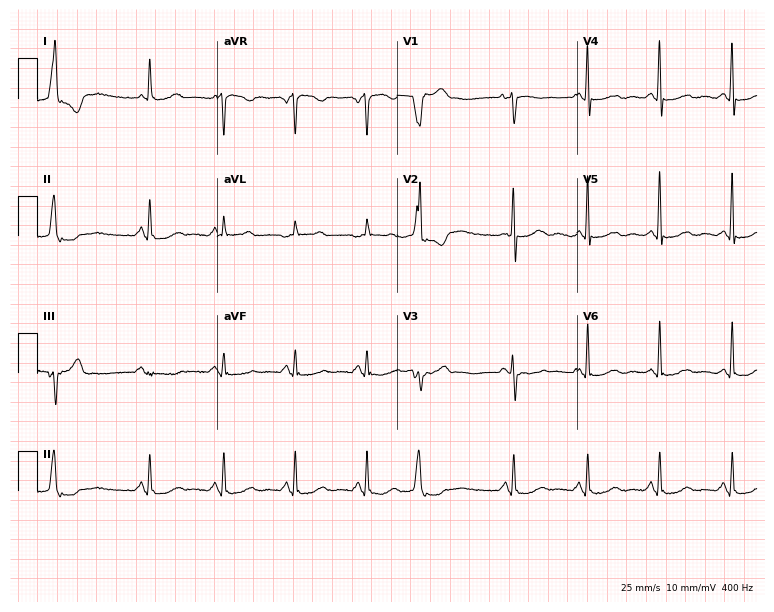
Standard 12-lead ECG recorded from a 71-year-old female patient (7.3-second recording at 400 Hz). None of these six findings is recorded: first-degree AV block, right bundle branch block (RBBB), left bundle branch block (LBBB), sinus bradycardia, atrial fibrillation (AF), sinus tachycardia.